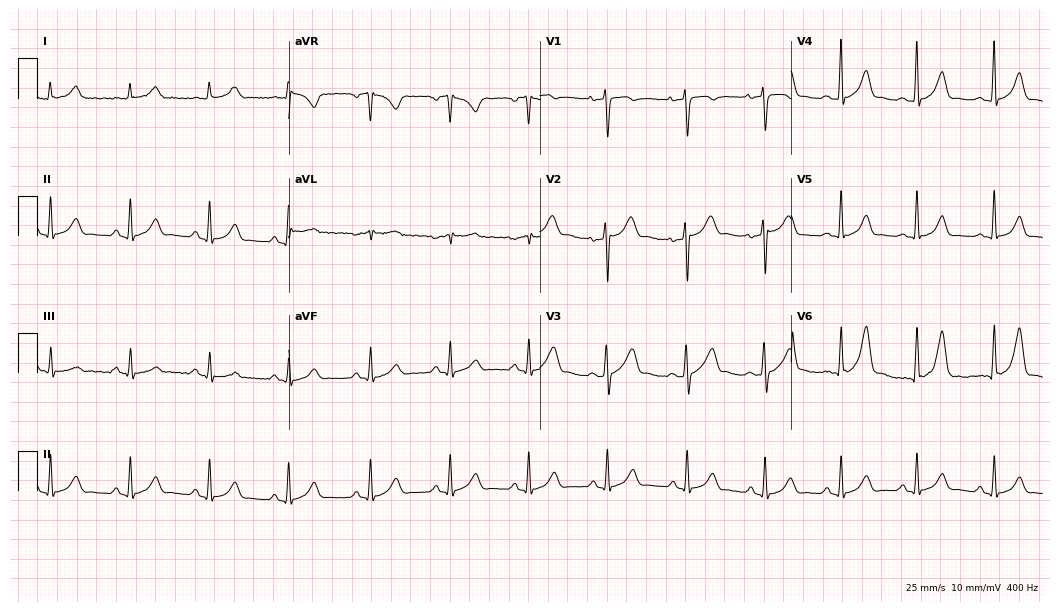
ECG — a 34-year-old male patient. Screened for six findings — first-degree AV block, right bundle branch block (RBBB), left bundle branch block (LBBB), sinus bradycardia, atrial fibrillation (AF), sinus tachycardia — none is recorded.